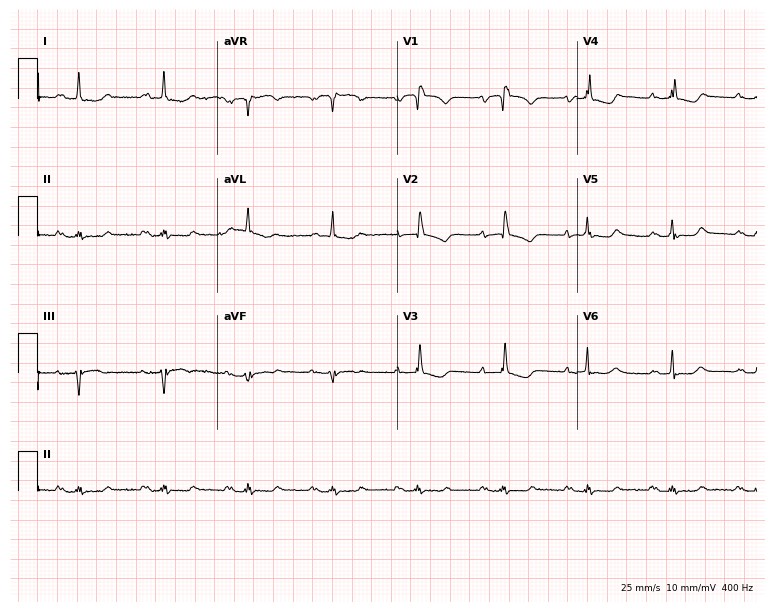
Resting 12-lead electrocardiogram. Patient: a 65-year-old female. Read as a normal ECG.